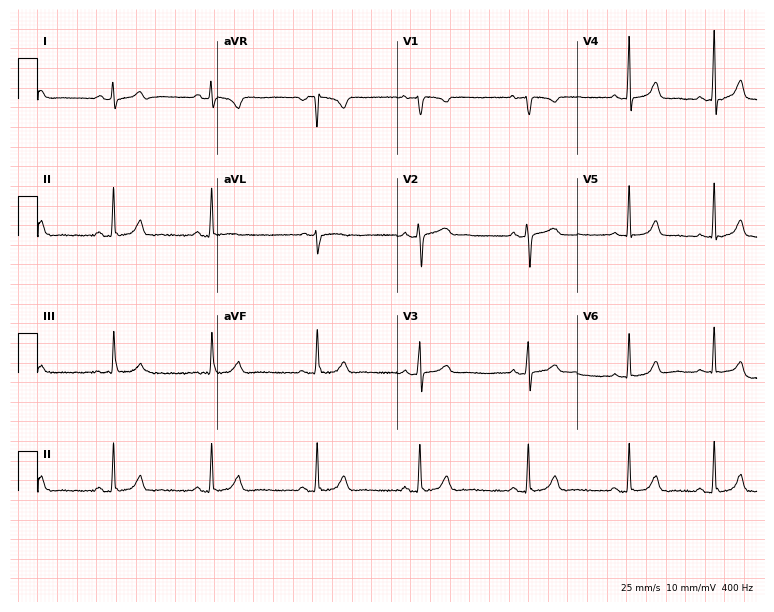
12-lead ECG from a female, 25 years old (7.3-second recording at 400 Hz). Recorded interpretation: within normal limits.